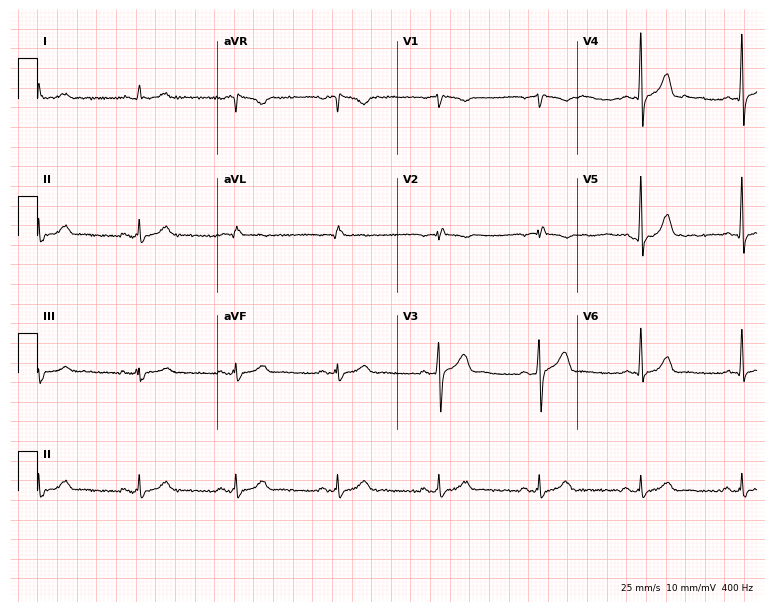
12-lead ECG from a 47-year-old male patient. No first-degree AV block, right bundle branch block (RBBB), left bundle branch block (LBBB), sinus bradycardia, atrial fibrillation (AF) or sinus tachycardia recorded for this tracing.